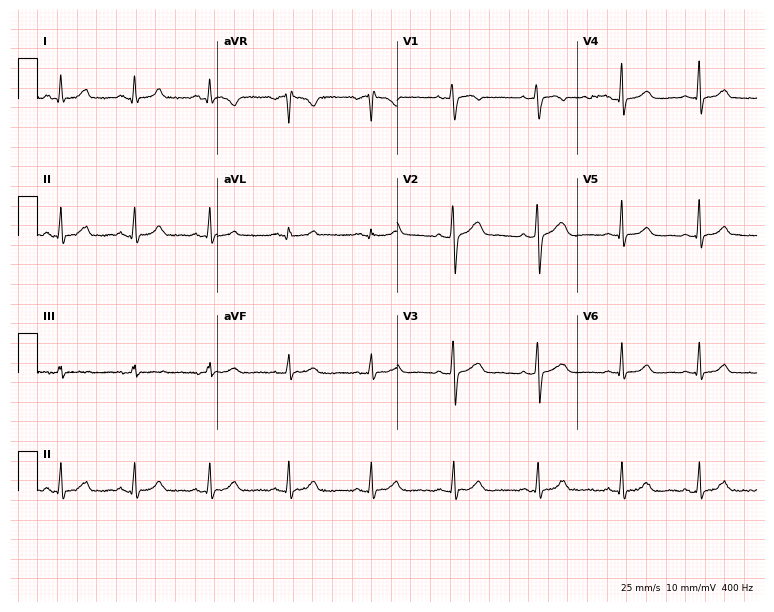
ECG — a woman, 33 years old. Screened for six findings — first-degree AV block, right bundle branch block, left bundle branch block, sinus bradycardia, atrial fibrillation, sinus tachycardia — none is recorded.